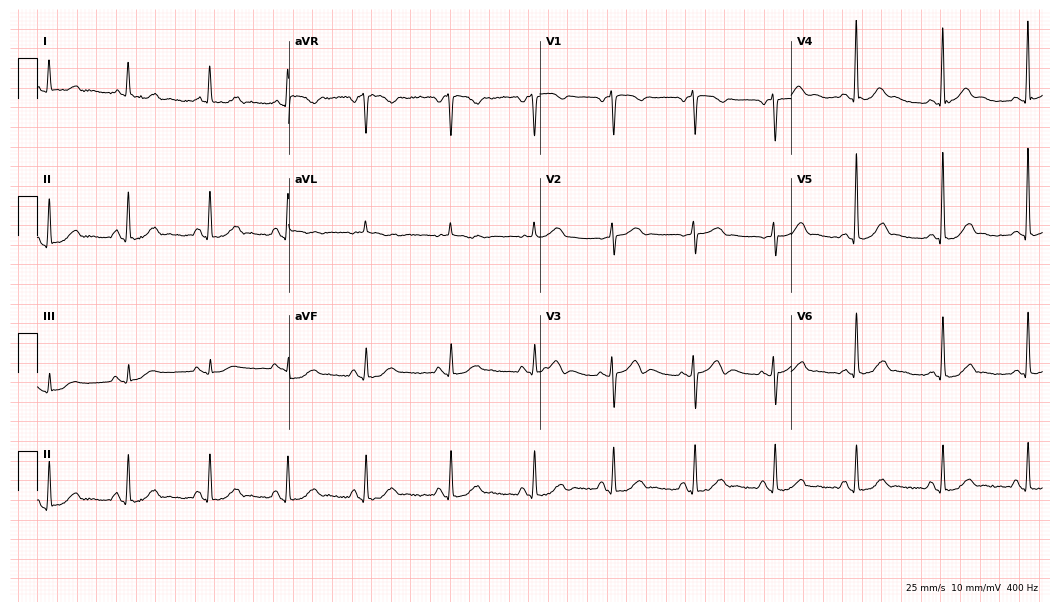
Resting 12-lead electrocardiogram. Patient: a 66-year-old female. Read as a normal ECG.